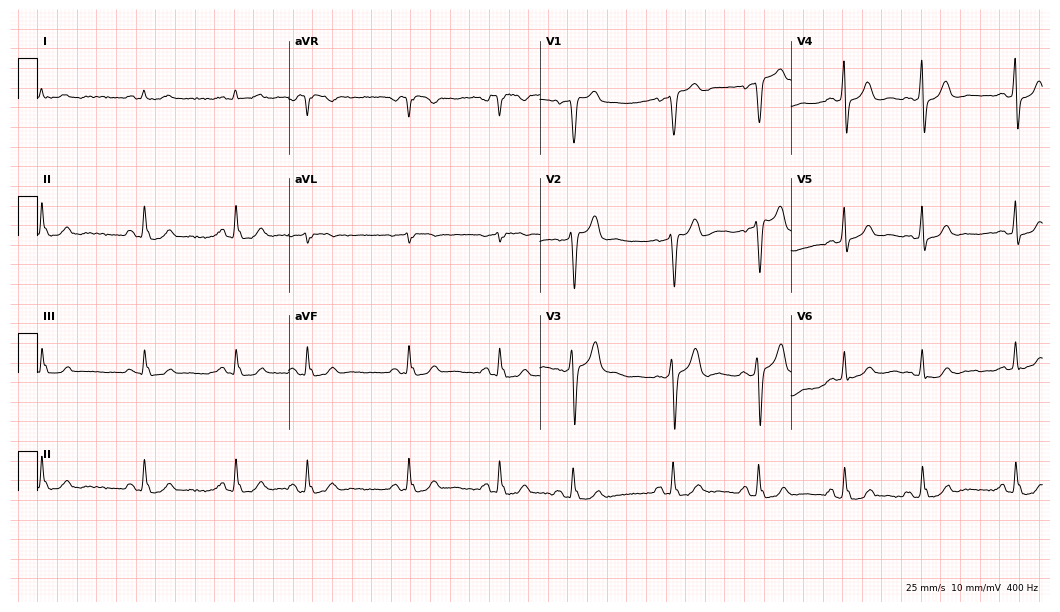
12-lead ECG (10.2-second recording at 400 Hz) from a man, 65 years old. Screened for six findings — first-degree AV block, right bundle branch block, left bundle branch block, sinus bradycardia, atrial fibrillation, sinus tachycardia — none is recorded. Other findings, if any, are not listed.